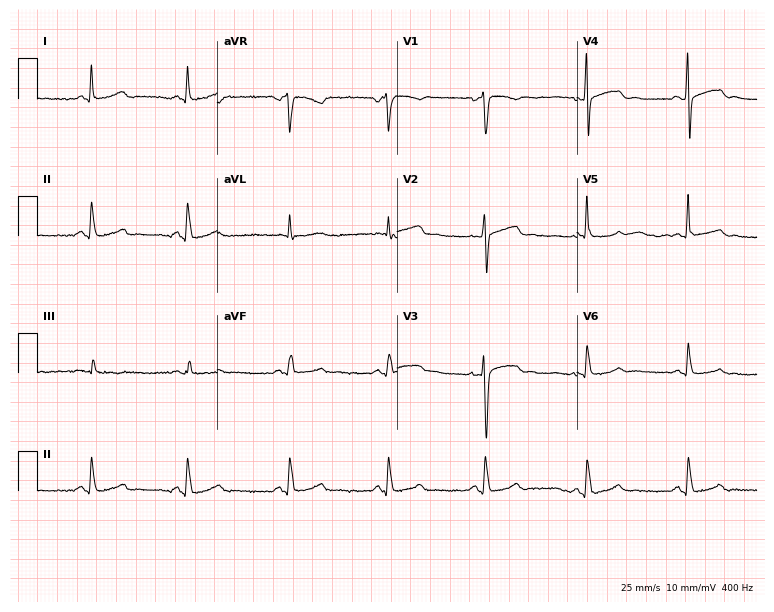
Standard 12-lead ECG recorded from a woman, 44 years old (7.3-second recording at 400 Hz). None of these six findings is recorded: first-degree AV block, right bundle branch block, left bundle branch block, sinus bradycardia, atrial fibrillation, sinus tachycardia. Other findings, if any, are not listed.